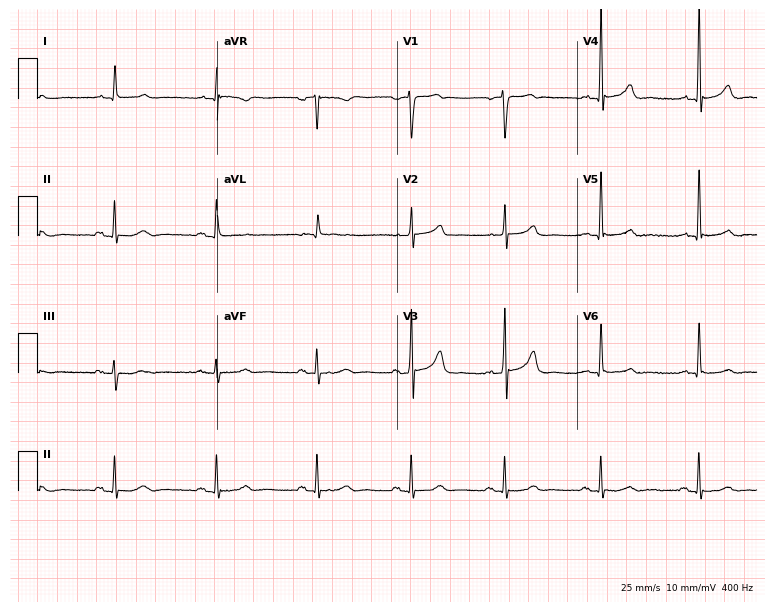
12-lead ECG (7.3-second recording at 400 Hz) from a man, 84 years old. Labelled as a normal ECG.